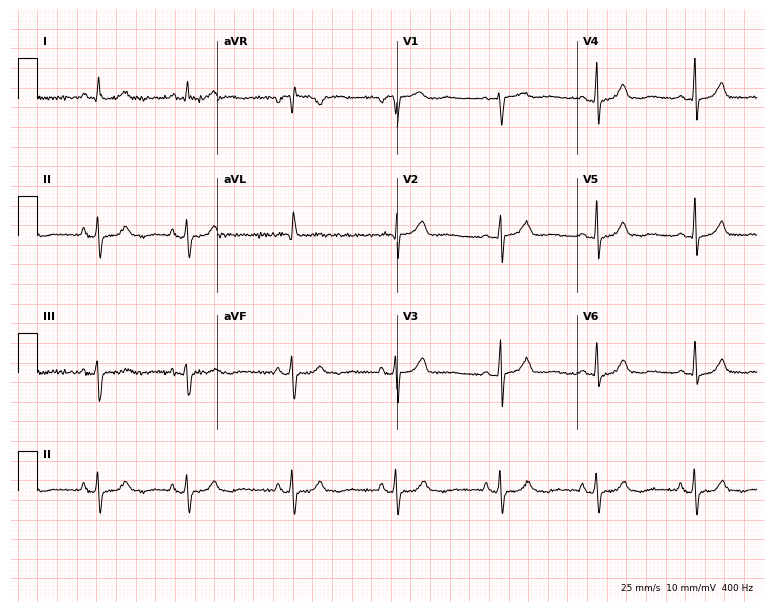
Resting 12-lead electrocardiogram (7.3-second recording at 400 Hz). Patient: a 53-year-old female. None of these six findings is recorded: first-degree AV block, right bundle branch block (RBBB), left bundle branch block (LBBB), sinus bradycardia, atrial fibrillation (AF), sinus tachycardia.